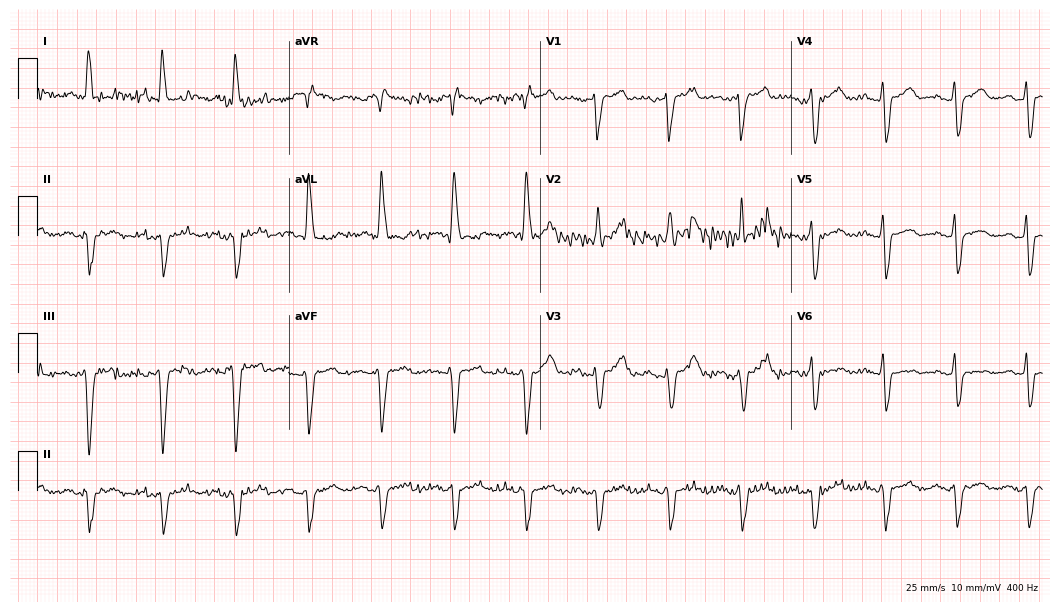
ECG (10.2-second recording at 400 Hz) — a male, 69 years old. Screened for six findings — first-degree AV block, right bundle branch block, left bundle branch block, sinus bradycardia, atrial fibrillation, sinus tachycardia — none is recorded.